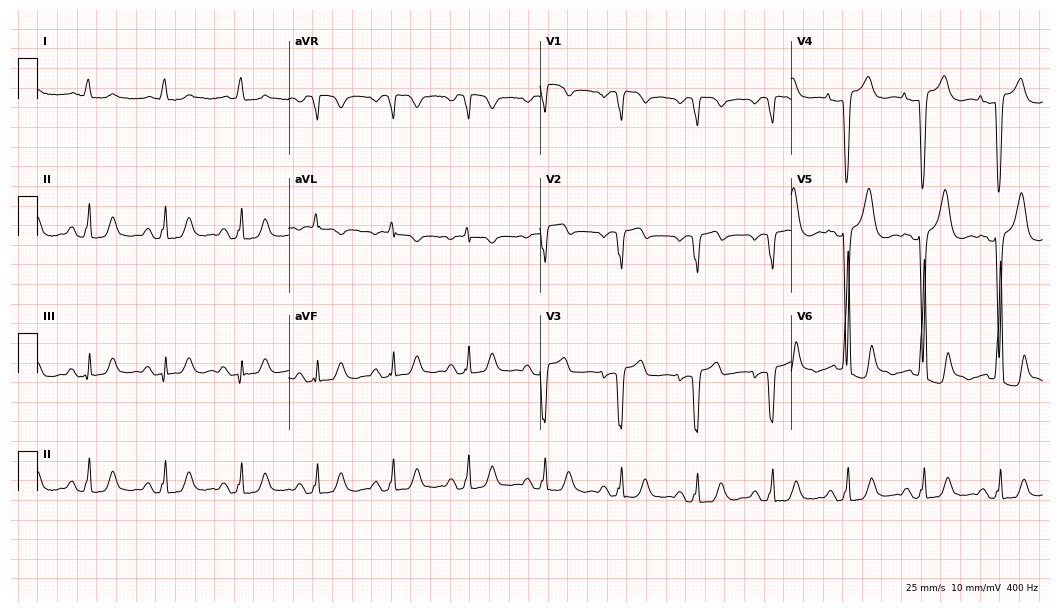
Resting 12-lead electrocardiogram (10.2-second recording at 400 Hz). Patient: a female, 80 years old. None of these six findings is recorded: first-degree AV block, right bundle branch block, left bundle branch block, sinus bradycardia, atrial fibrillation, sinus tachycardia.